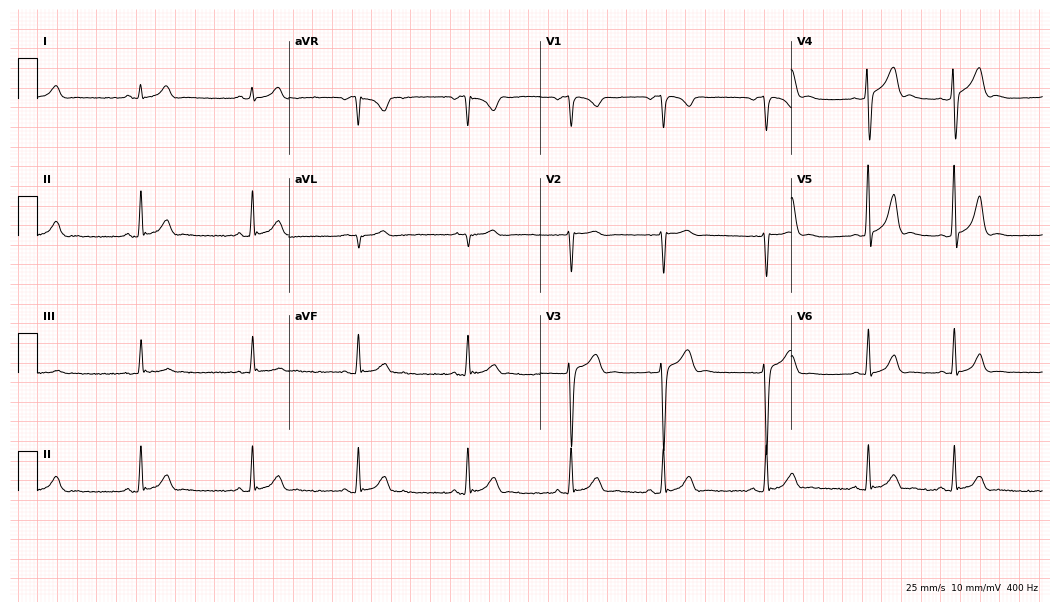
Electrocardiogram (10.2-second recording at 400 Hz), a male patient, 27 years old. Overall reading on record: normal ECG.